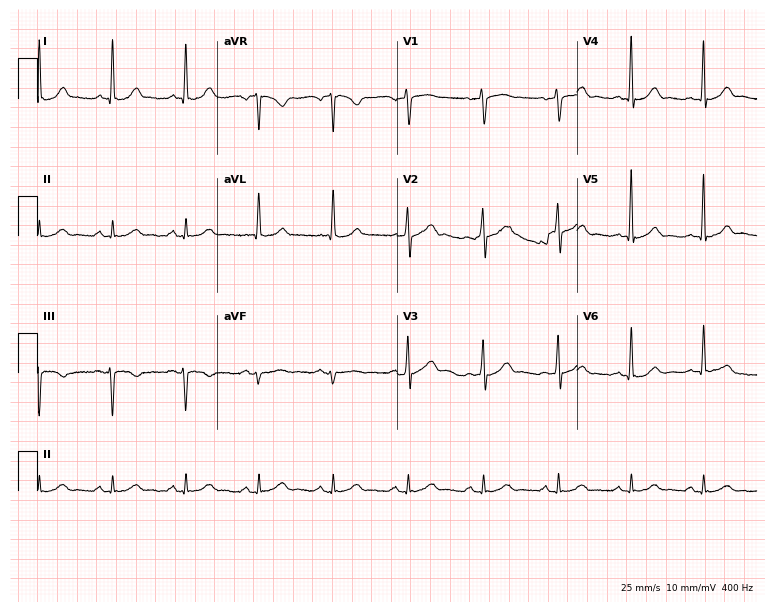
12-lead ECG from a 69-year-old man. Recorded interpretation: within normal limits.